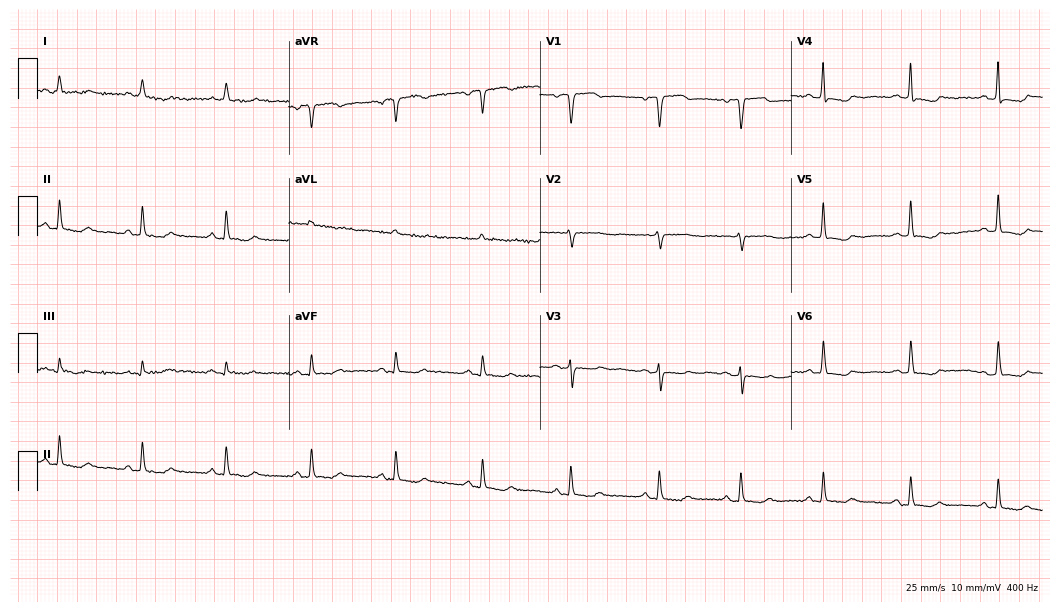
Resting 12-lead electrocardiogram (10.2-second recording at 400 Hz). Patient: an 80-year-old female. None of these six findings is recorded: first-degree AV block, right bundle branch block (RBBB), left bundle branch block (LBBB), sinus bradycardia, atrial fibrillation (AF), sinus tachycardia.